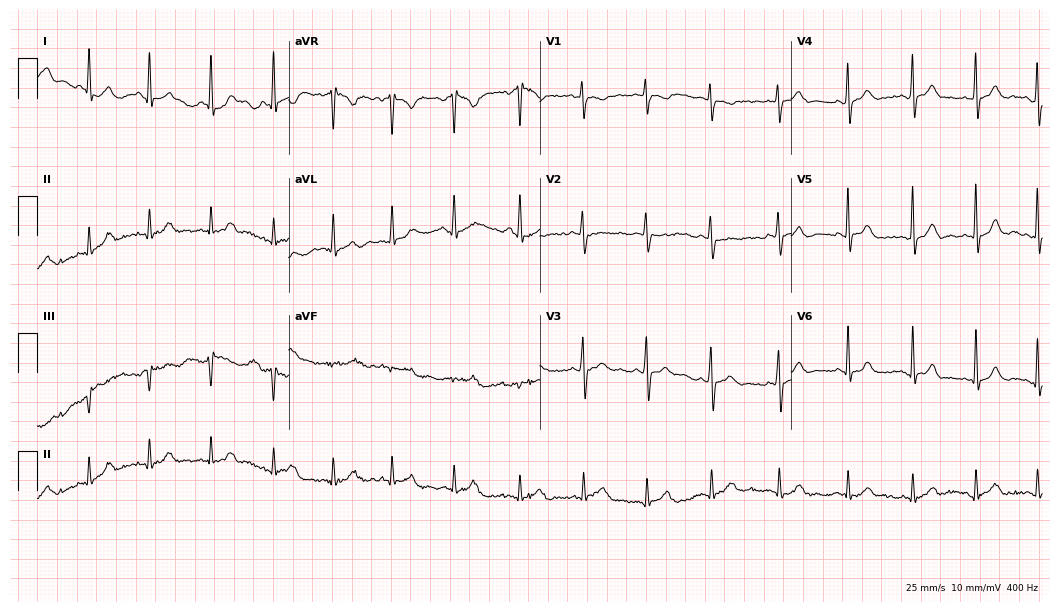
Standard 12-lead ECG recorded from a woman, 17 years old (10.2-second recording at 400 Hz). Read as a normal ECG.